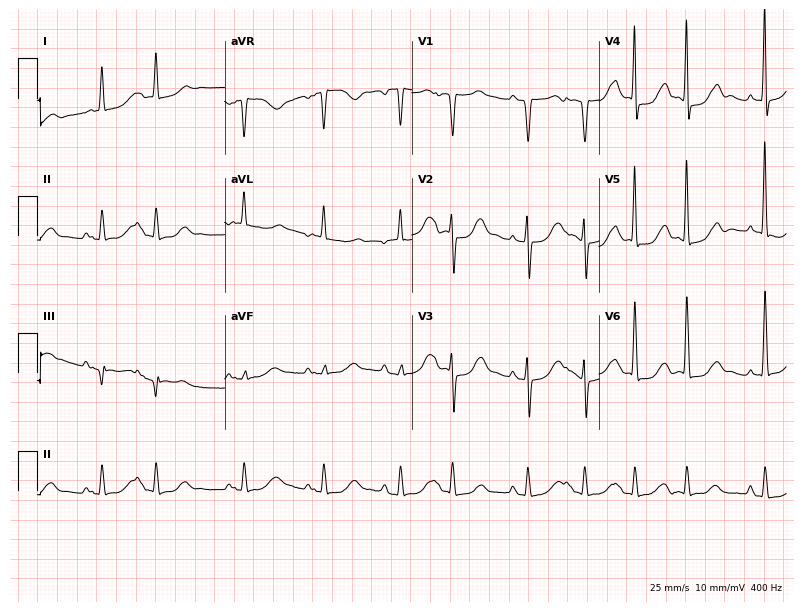
12-lead ECG from a woman, 84 years old. Screened for six findings — first-degree AV block, right bundle branch block, left bundle branch block, sinus bradycardia, atrial fibrillation, sinus tachycardia — none is recorded.